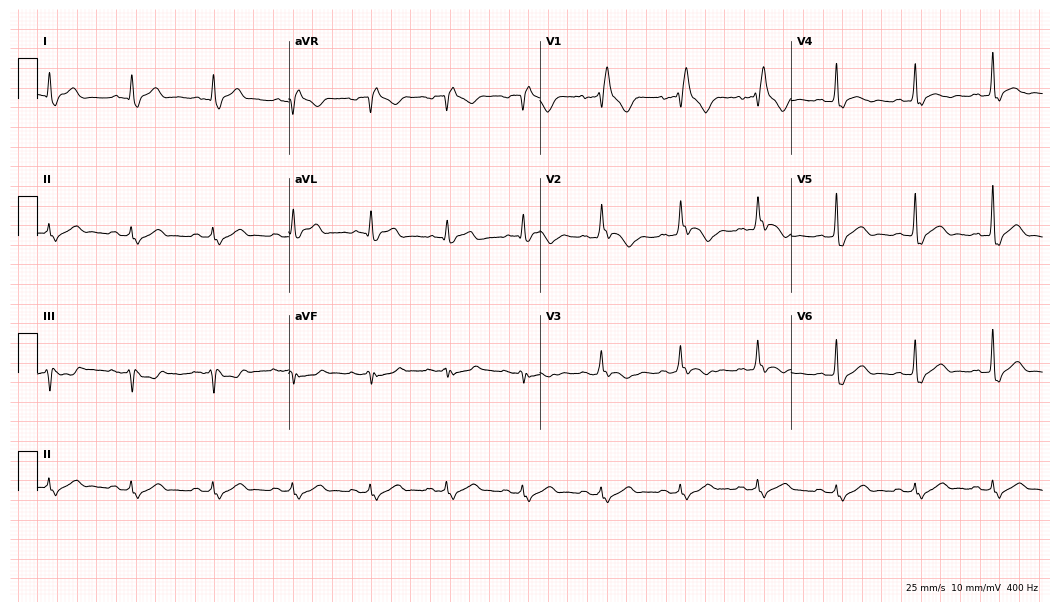
12-lead ECG from a 65-year-old man. Findings include right bundle branch block (RBBB).